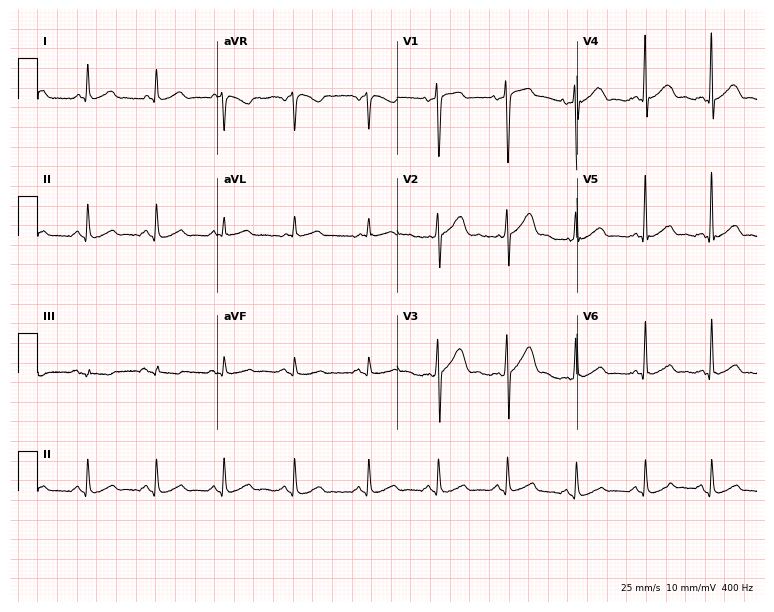
12-lead ECG (7.3-second recording at 400 Hz) from a male, 36 years old. Labelled as a normal ECG.